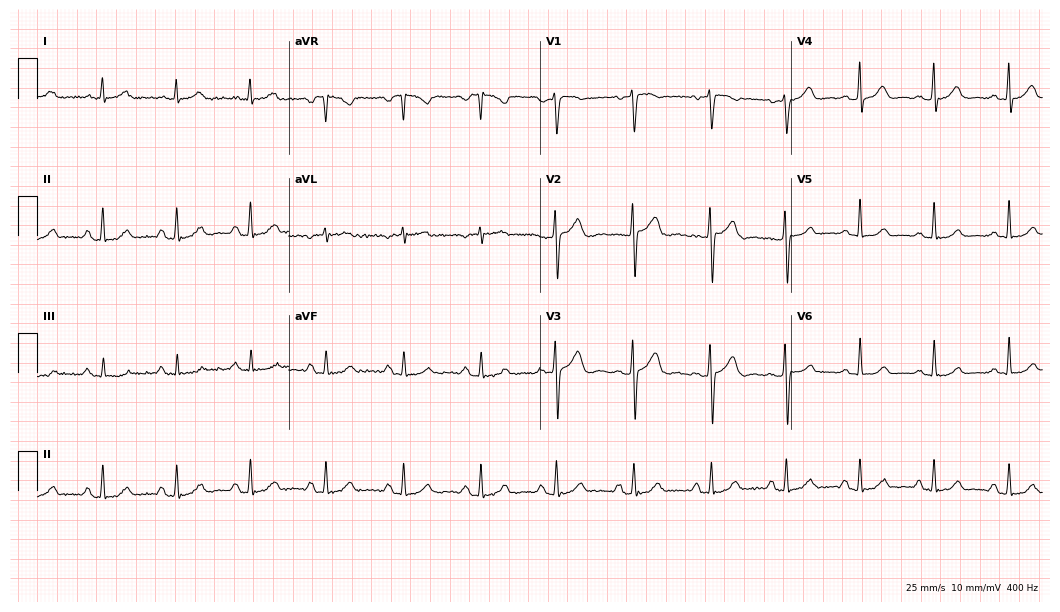
12-lead ECG from a woman, 36 years old (10.2-second recording at 400 Hz). No first-degree AV block, right bundle branch block (RBBB), left bundle branch block (LBBB), sinus bradycardia, atrial fibrillation (AF) or sinus tachycardia recorded for this tracing. Findings outside these six are not listed.